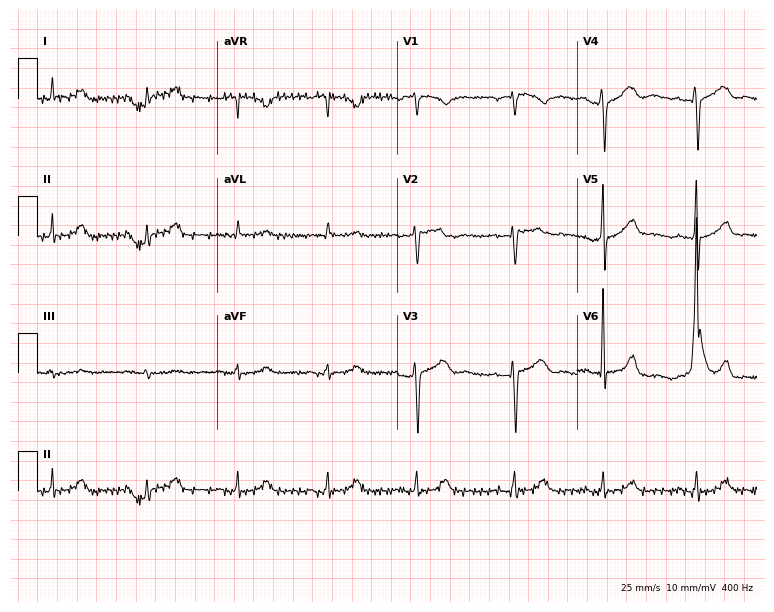
Resting 12-lead electrocardiogram (7.3-second recording at 400 Hz). Patient: a male, 80 years old. None of these six findings is recorded: first-degree AV block, right bundle branch block (RBBB), left bundle branch block (LBBB), sinus bradycardia, atrial fibrillation (AF), sinus tachycardia. Only these six findings were labelled.